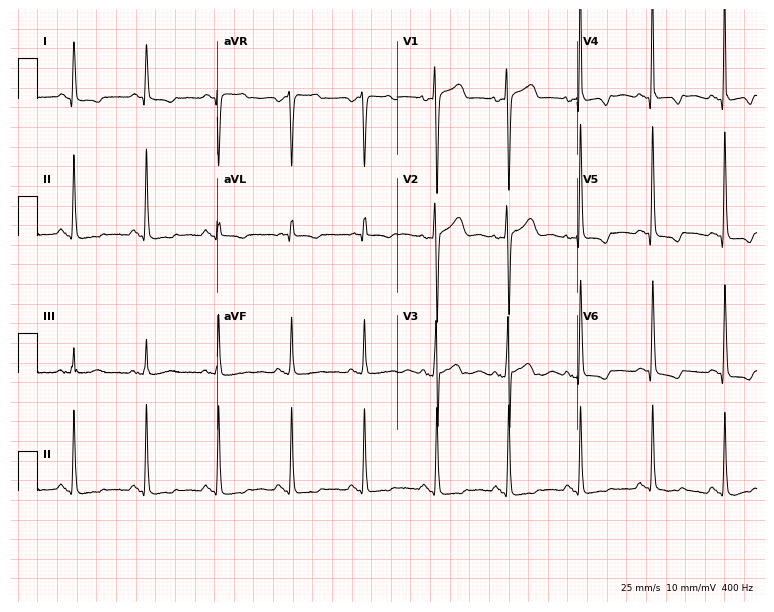
Standard 12-lead ECG recorded from a woman, 61 years old. None of these six findings is recorded: first-degree AV block, right bundle branch block (RBBB), left bundle branch block (LBBB), sinus bradycardia, atrial fibrillation (AF), sinus tachycardia. Only these six findings were labelled.